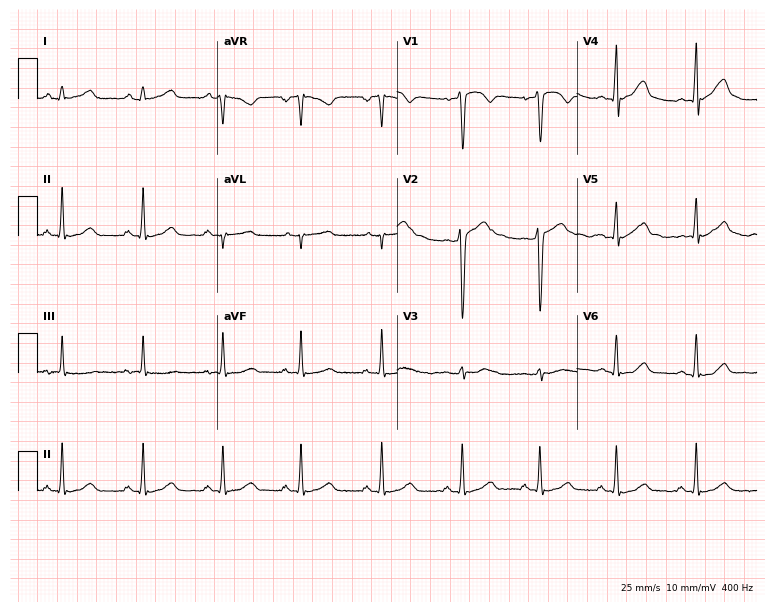
Resting 12-lead electrocardiogram (7.3-second recording at 400 Hz). Patient: a male, 30 years old. None of these six findings is recorded: first-degree AV block, right bundle branch block, left bundle branch block, sinus bradycardia, atrial fibrillation, sinus tachycardia.